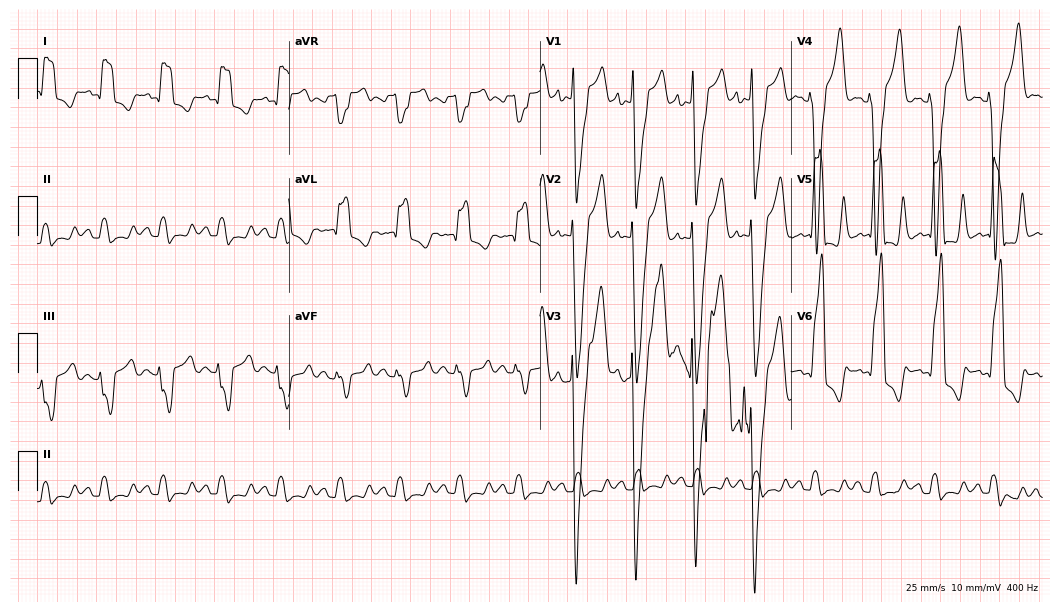
Standard 12-lead ECG recorded from a 17-year-old man (10.2-second recording at 400 Hz). The tracing shows left bundle branch block.